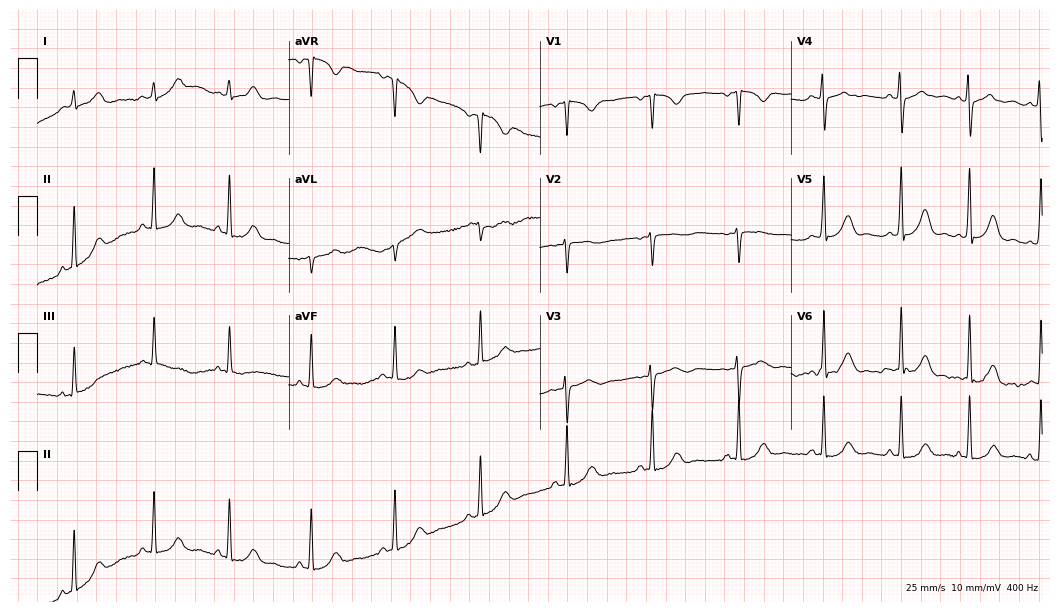
12-lead ECG from a woman, 18 years old (10.2-second recording at 400 Hz). Recorded interpretation: within normal limits.